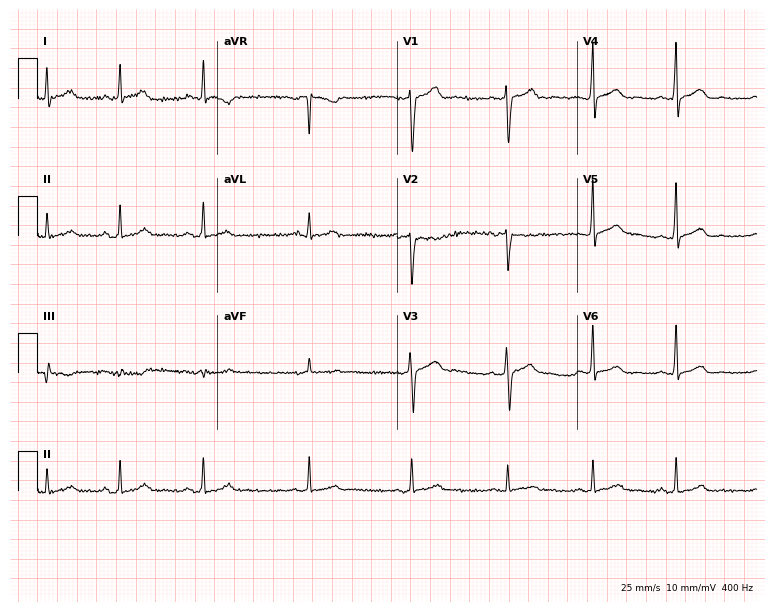
Electrocardiogram (7.3-second recording at 400 Hz), a 32-year-old male patient. Overall reading on record: normal ECG.